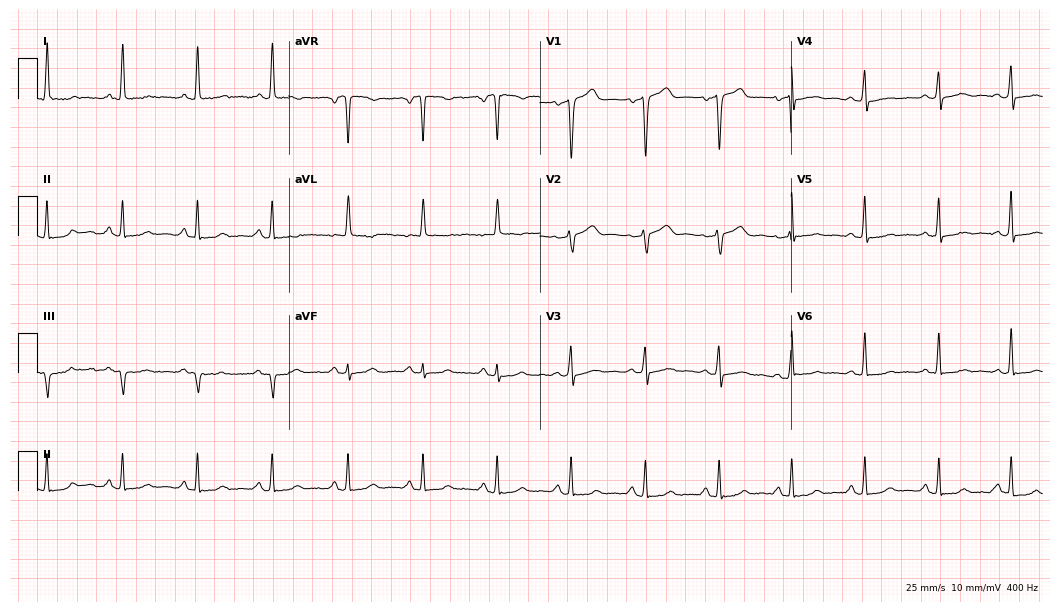
ECG — a female, 49 years old. Screened for six findings — first-degree AV block, right bundle branch block (RBBB), left bundle branch block (LBBB), sinus bradycardia, atrial fibrillation (AF), sinus tachycardia — none is recorded.